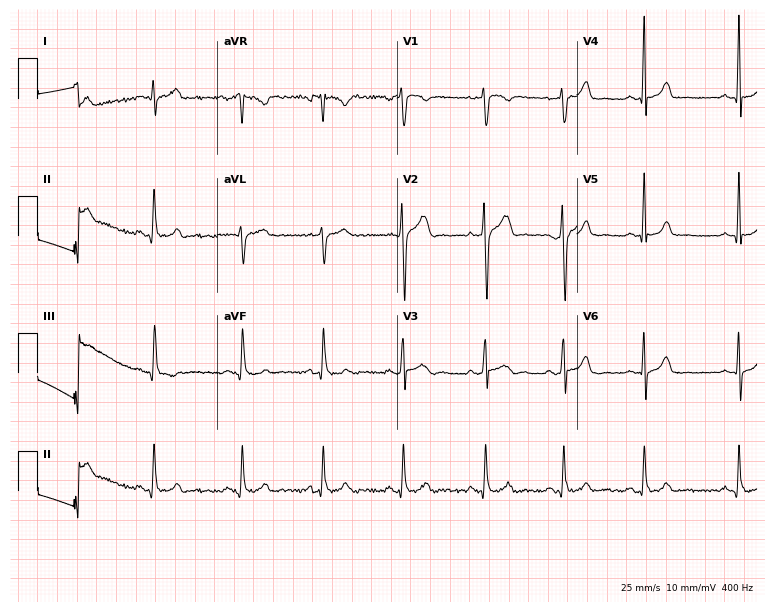
Electrocardiogram, a 29-year-old male. Of the six screened findings (first-degree AV block, right bundle branch block, left bundle branch block, sinus bradycardia, atrial fibrillation, sinus tachycardia), none is recorded.